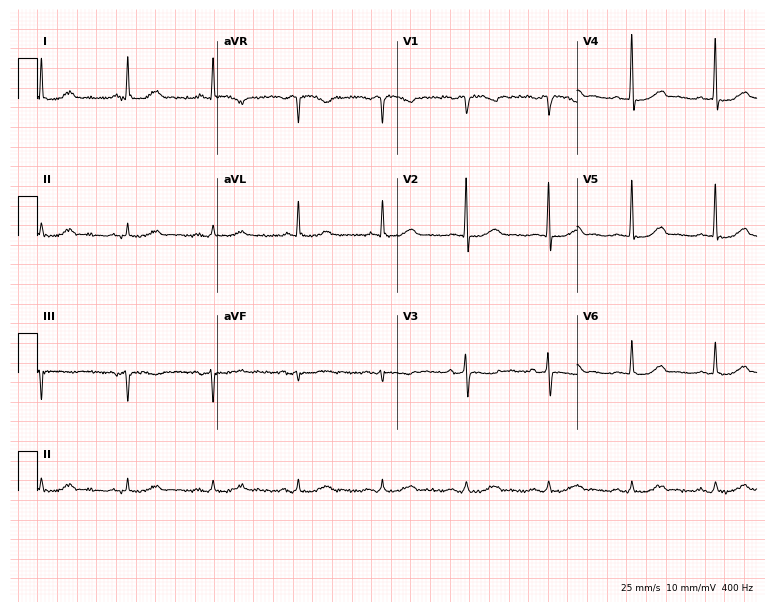
12-lead ECG from a 74-year-old man. Labelled as a normal ECG.